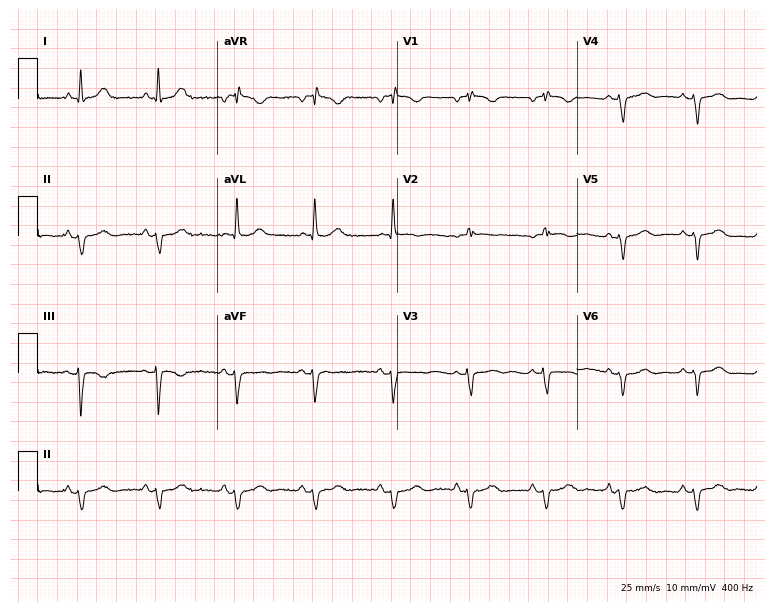
Standard 12-lead ECG recorded from a 74-year-old woman (7.3-second recording at 400 Hz). None of these six findings is recorded: first-degree AV block, right bundle branch block, left bundle branch block, sinus bradycardia, atrial fibrillation, sinus tachycardia.